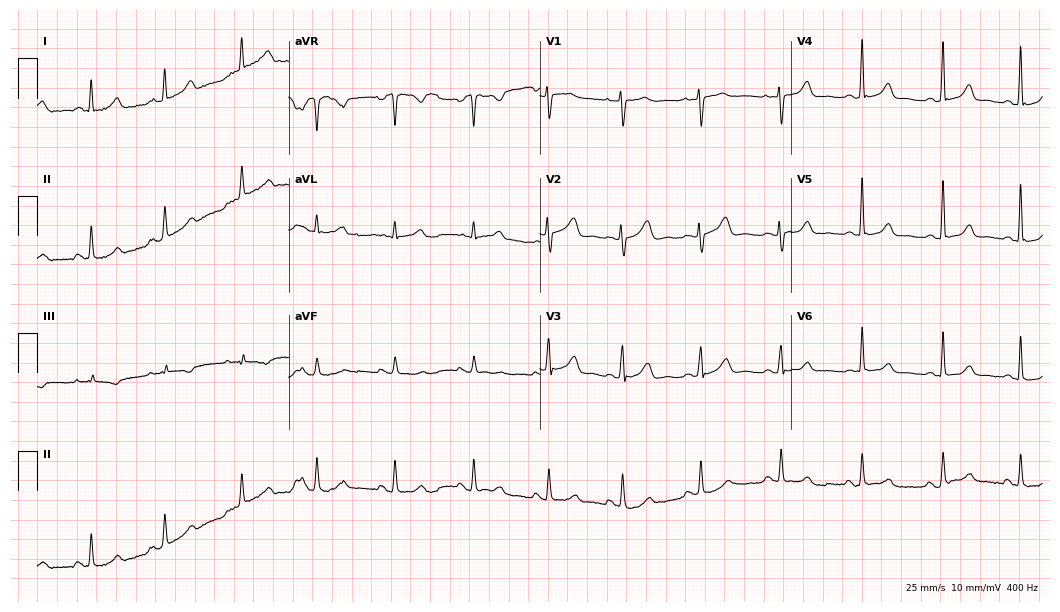
Resting 12-lead electrocardiogram. Patient: a 37-year-old female. None of these six findings is recorded: first-degree AV block, right bundle branch block (RBBB), left bundle branch block (LBBB), sinus bradycardia, atrial fibrillation (AF), sinus tachycardia.